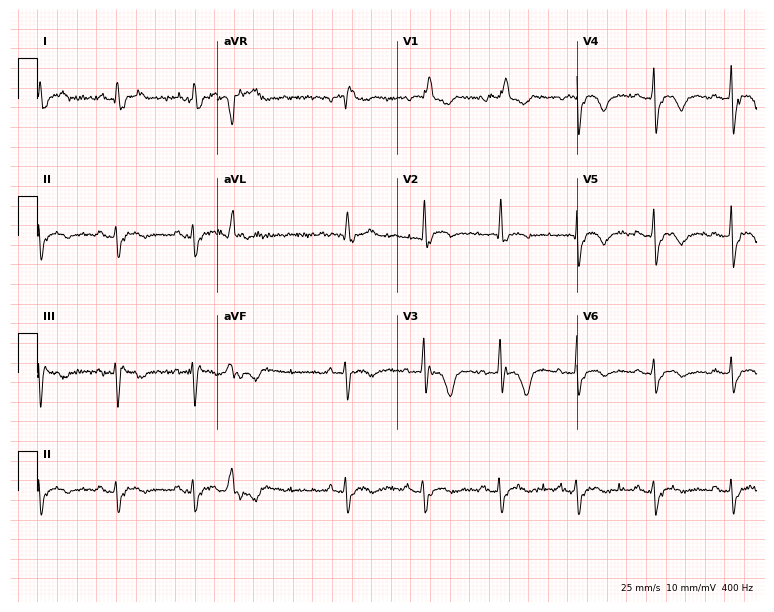
12-lead ECG from an 85-year-old woman. Findings include right bundle branch block.